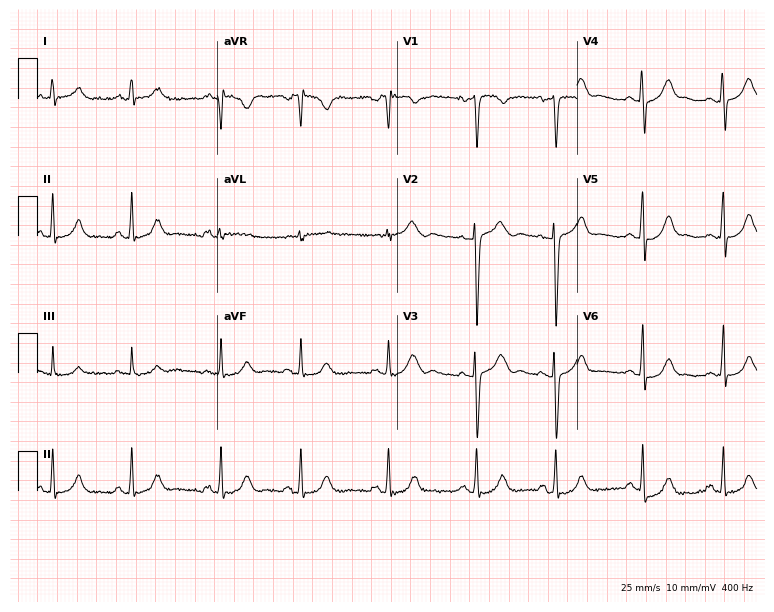
Standard 12-lead ECG recorded from a female patient, 19 years old (7.3-second recording at 400 Hz). Read as a normal ECG.